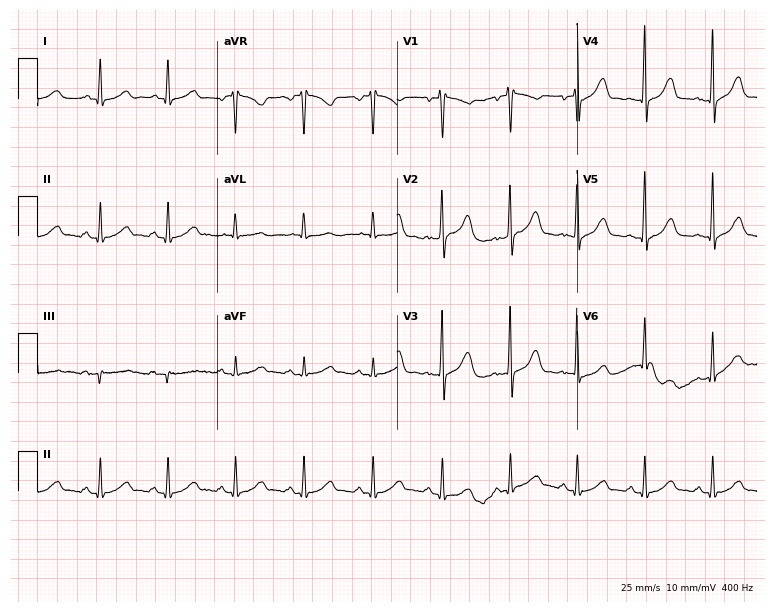
12-lead ECG (7.3-second recording at 400 Hz) from a man, 35 years old. Labelled as a normal ECG.